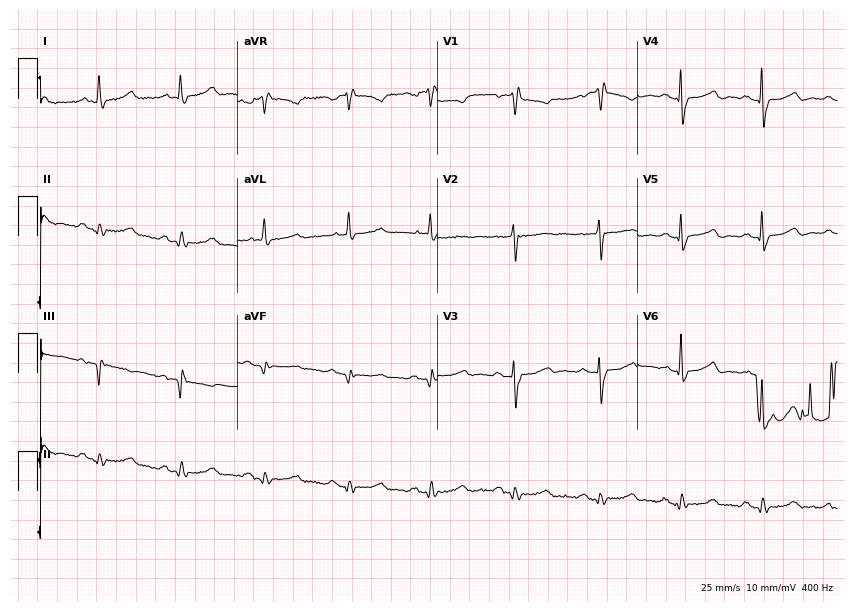
ECG (8.2-second recording at 400 Hz) — a 78-year-old woman. Screened for six findings — first-degree AV block, right bundle branch block, left bundle branch block, sinus bradycardia, atrial fibrillation, sinus tachycardia — none is recorded.